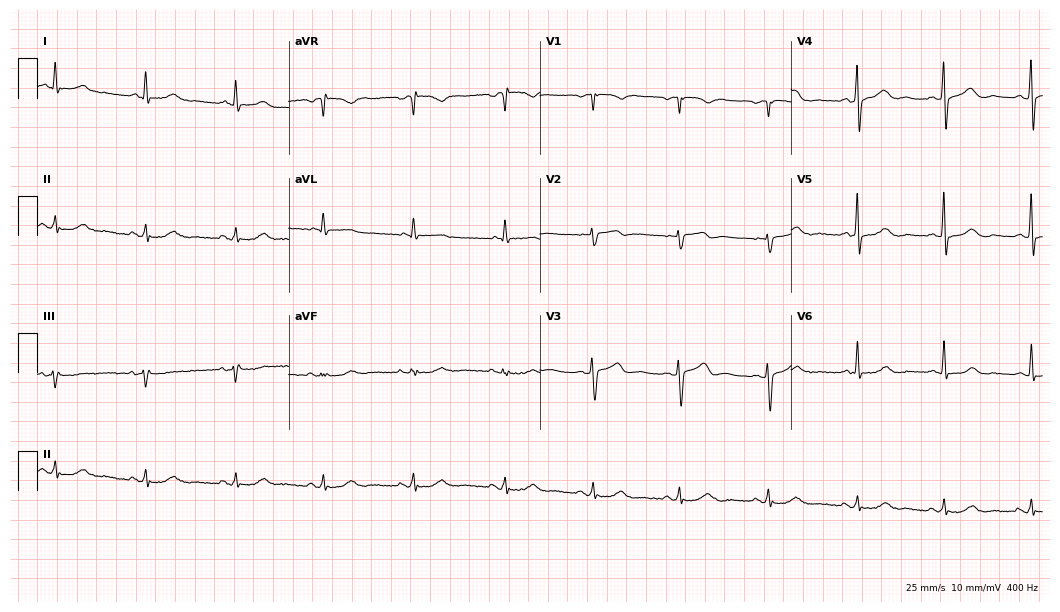
Resting 12-lead electrocardiogram (10.2-second recording at 400 Hz). Patient: a 72-year-old female. None of these six findings is recorded: first-degree AV block, right bundle branch block, left bundle branch block, sinus bradycardia, atrial fibrillation, sinus tachycardia.